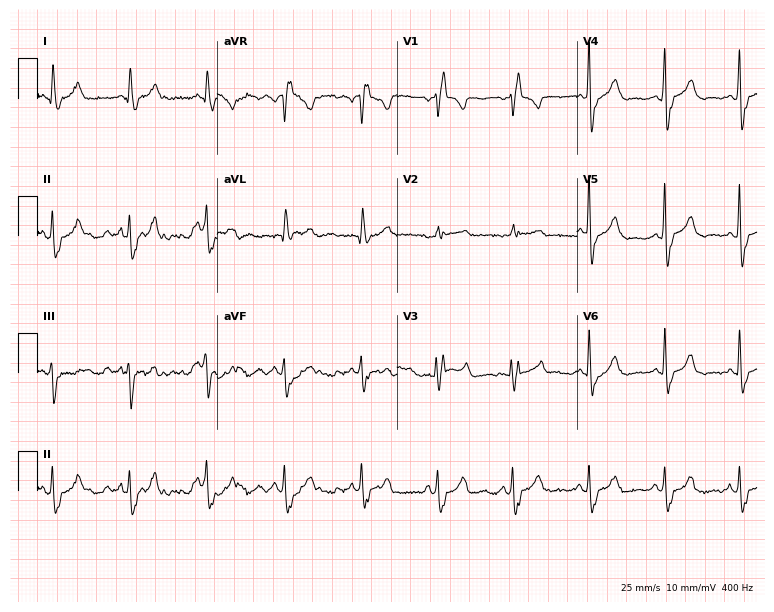
12-lead ECG from a woman, 43 years old. Shows right bundle branch block (RBBB).